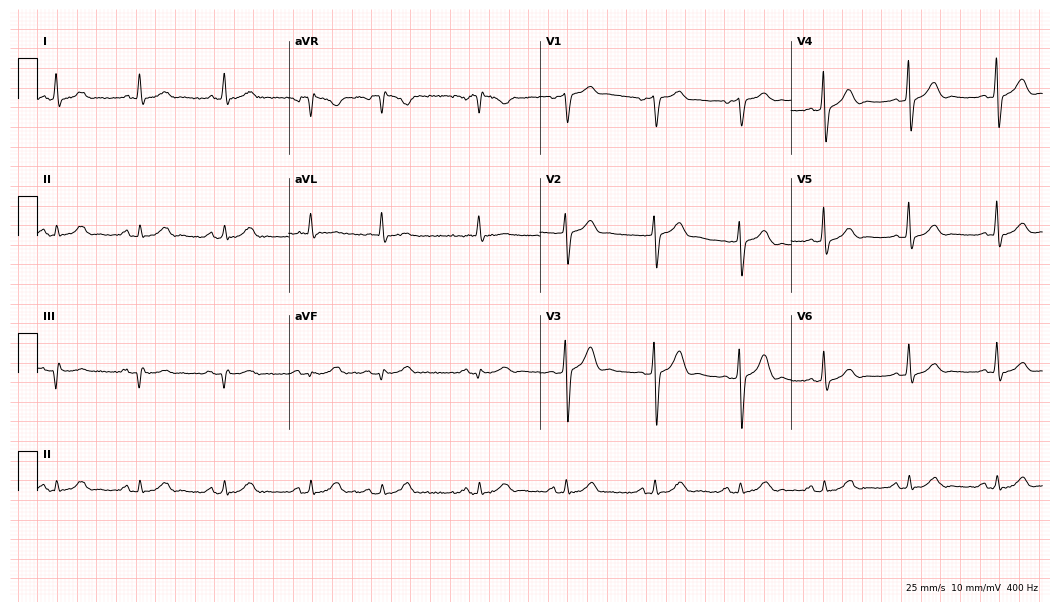
Standard 12-lead ECG recorded from a man, 70 years old (10.2-second recording at 400 Hz). None of these six findings is recorded: first-degree AV block, right bundle branch block (RBBB), left bundle branch block (LBBB), sinus bradycardia, atrial fibrillation (AF), sinus tachycardia.